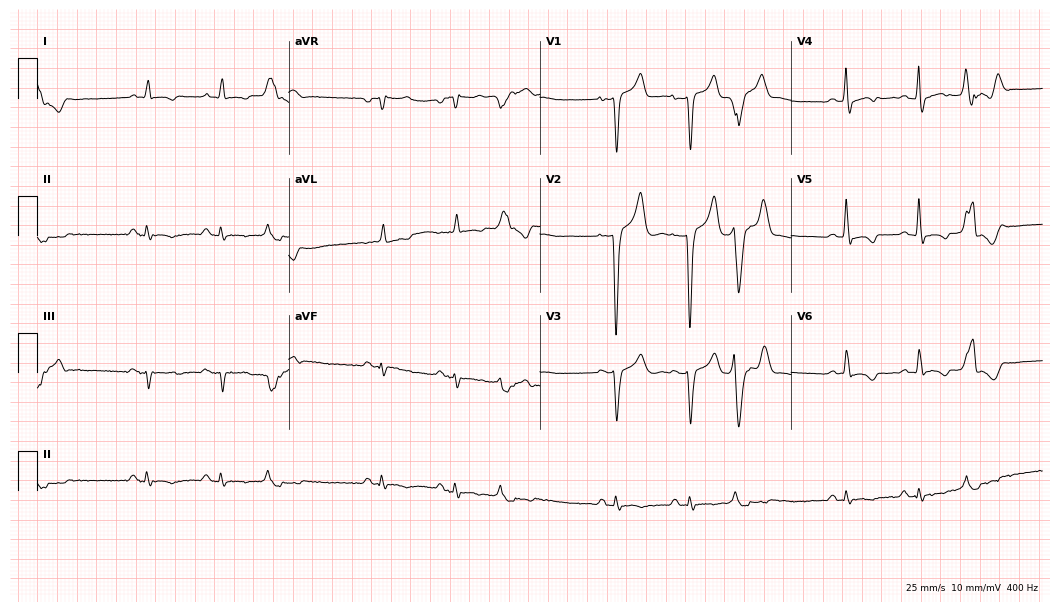
ECG (10.2-second recording at 400 Hz) — a 57-year-old man. Screened for six findings — first-degree AV block, right bundle branch block, left bundle branch block, sinus bradycardia, atrial fibrillation, sinus tachycardia — none is recorded.